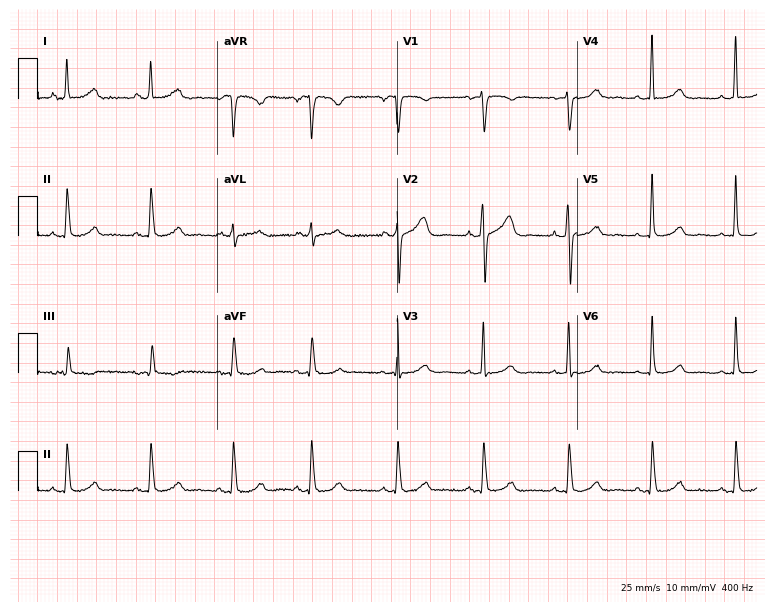
12-lead ECG from a 50-year-old female patient (7.3-second recording at 400 Hz). No first-degree AV block, right bundle branch block, left bundle branch block, sinus bradycardia, atrial fibrillation or sinus tachycardia recorded for this tracing. Only these six findings were labelled.